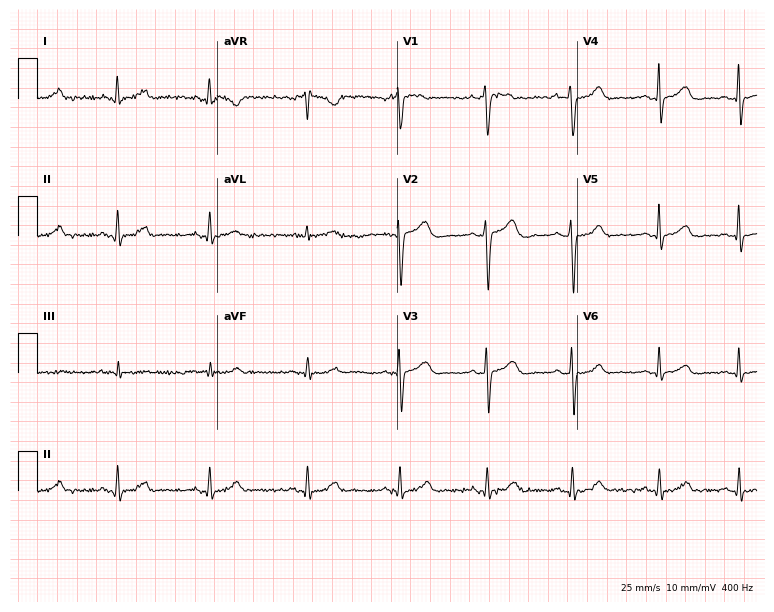
12-lead ECG (7.3-second recording at 400 Hz) from a woman, 36 years old. Labelled as a normal ECG.